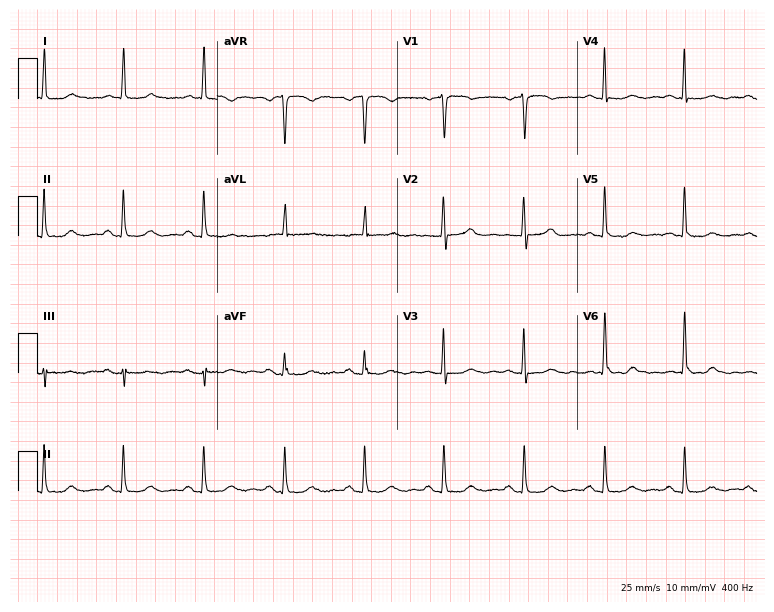
12-lead ECG from a 78-year-old woman. Recorded interpretation: within normal limits.